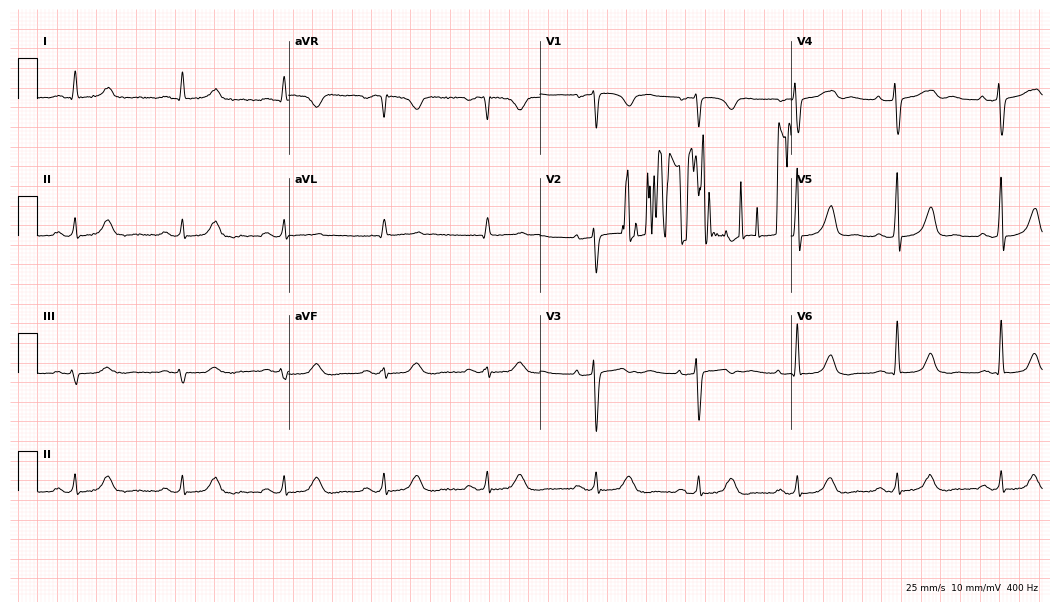
ECG (10.2-second recording at 400 Hz) — a female, 50 years old. Screened for six findings — first-degree AV block, right bundle branch block, left bundle branch block, sinus bradycardia, atrial fibrillation, sinus tachycardia — none is recorded. Findings outside these six are not listed.